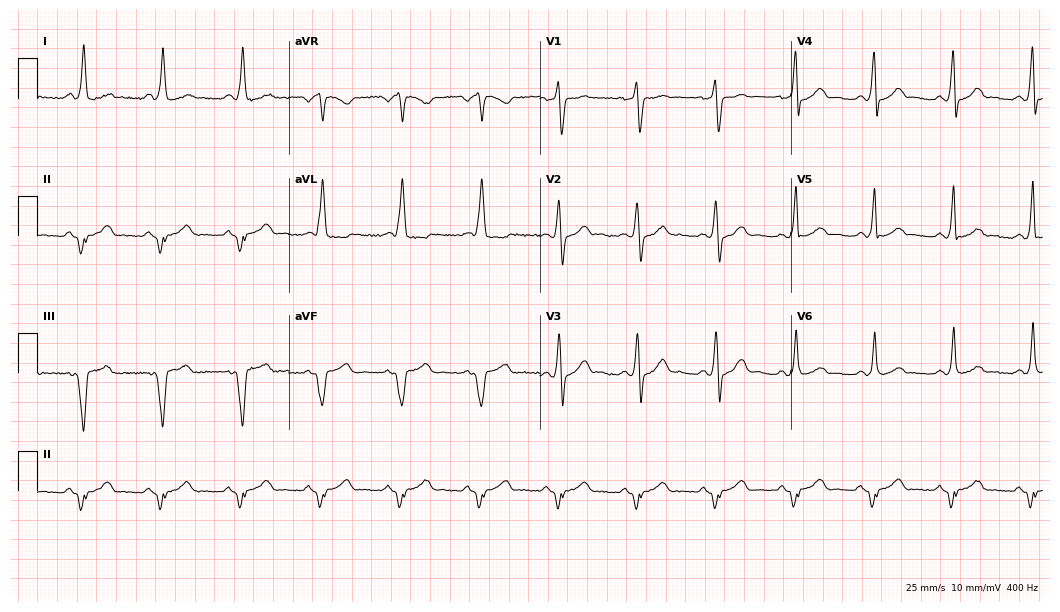
Electrocardiogram (10.2-second recording at 400 Hz), a male patient, 49 years old. Of the six screened findings (first-degree AV block, right bundle branch block, left bundle branch block, sinus bradycardia, atrial fibrillation, sinus tachycardia), none is recorded. Other findings, if any, are not listed.